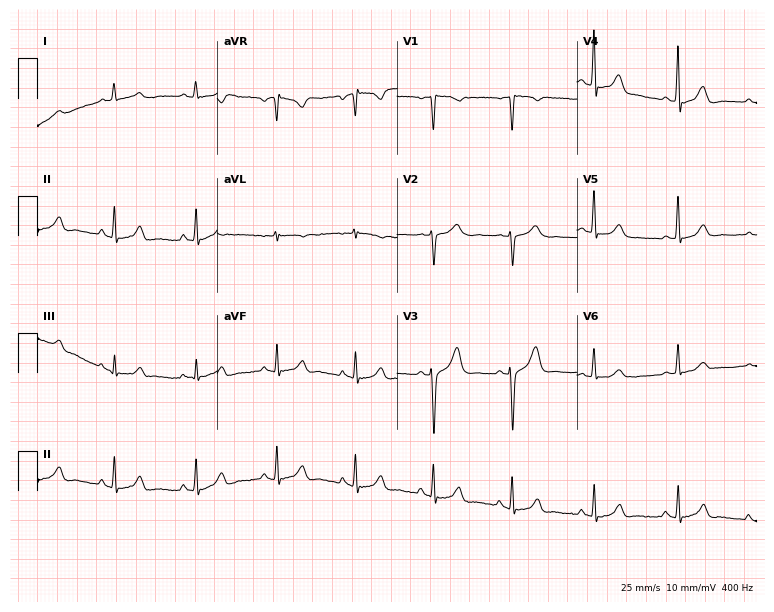
12-lead ECG from a female, 51 years old (7.3-second recording at 400 Hz). No first-degree AV block, right bundle branch block (RBBB), left bundle branch block (LBBB), sinus bradycardia, atrial fibrillation (AF) or sinus tachycardia recorded for this tracing. Other findings, if any, are not listed.